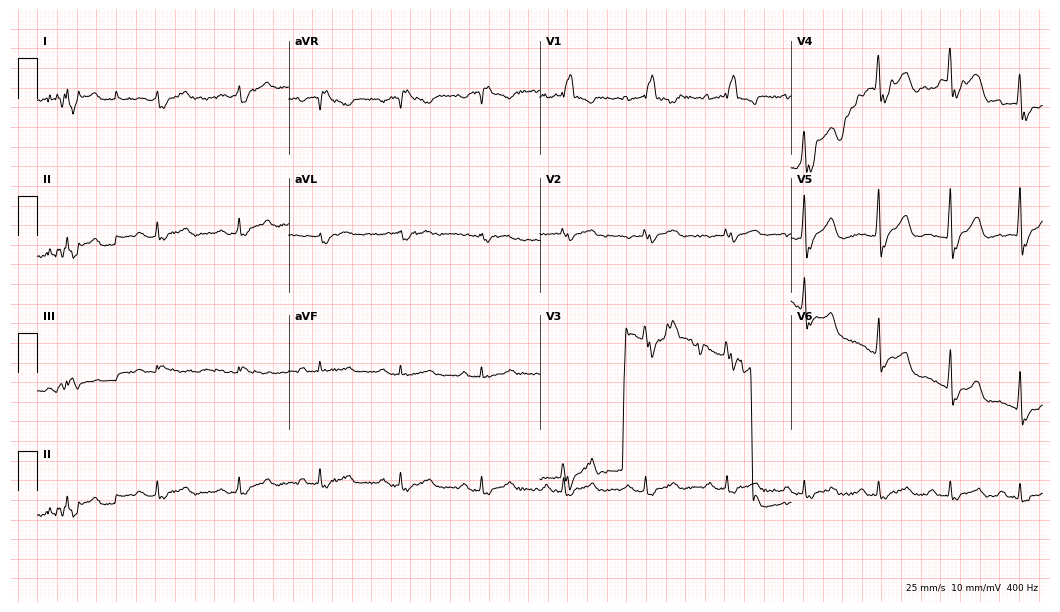
Resting 12-lead electrocardiogram. Patient: a male, 66 years old. None of these six findings is recorded: first-degree AV block, right bundle branch block, left bundle branch block, sinus bradycardia, atrial fibrillation, sinus tachycardia.